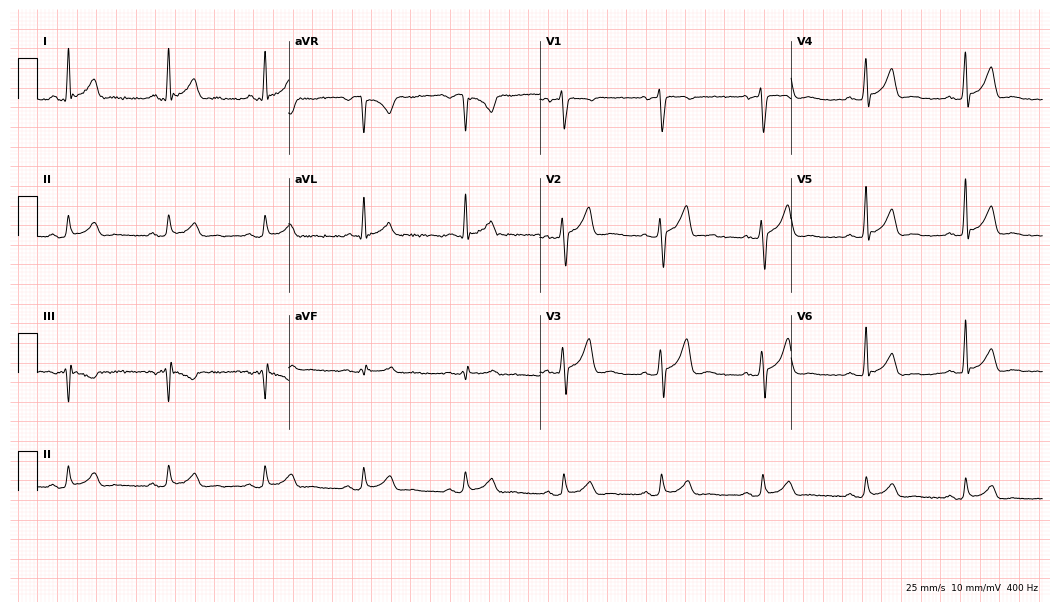
Resting 12-lead electrocardiogram. Patient: a male, 49 years old. Read as a normal ECG.